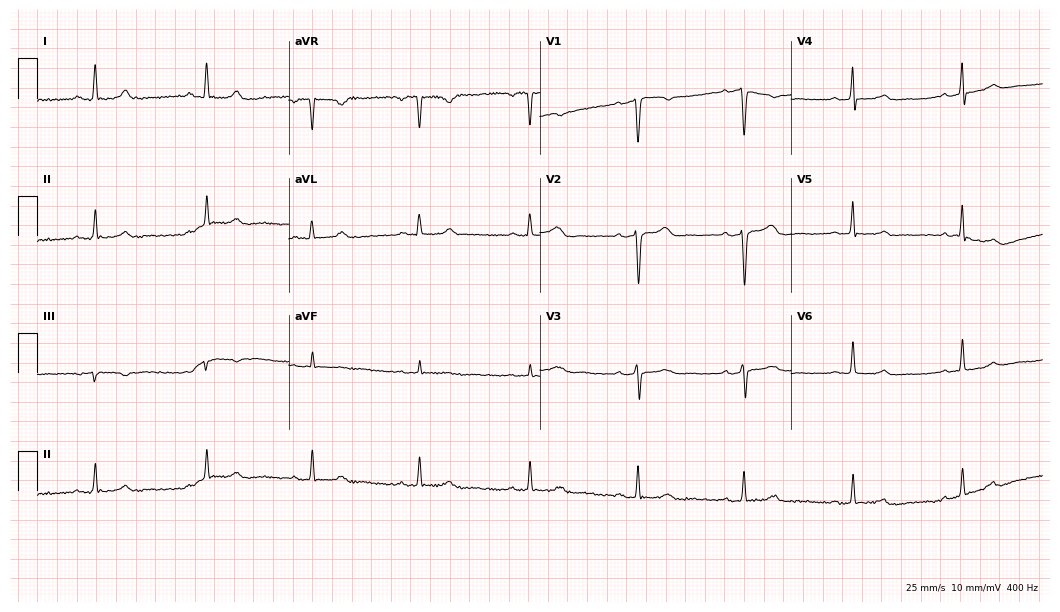
Standard 12-lead ECG recorded from a 44-year-old female patient. Read as a normal ECG.